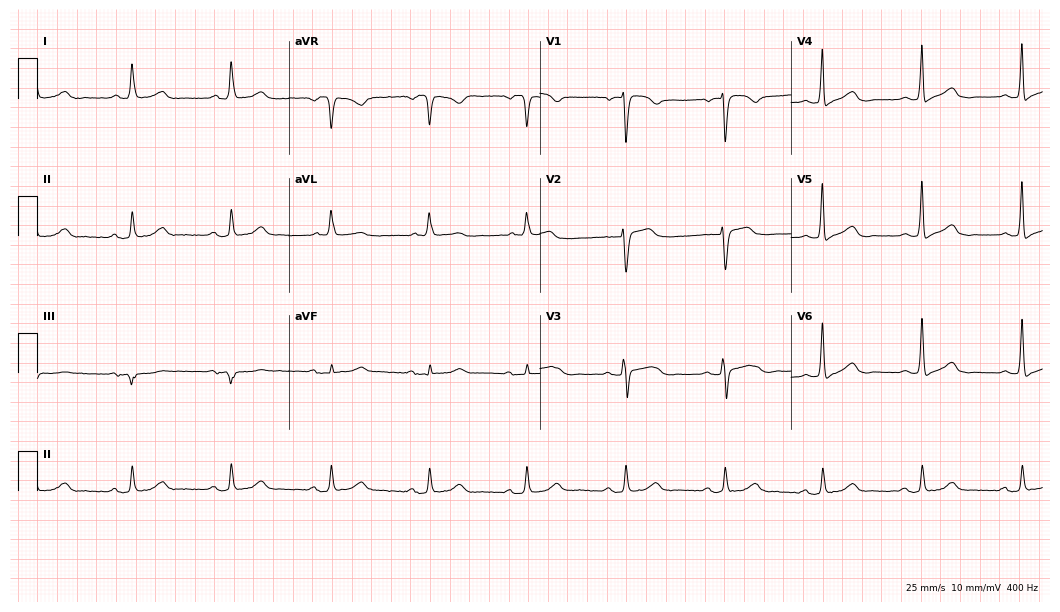
12-lead ECG (10.2-second recording at 400 Hz) from a 78-year-old female. Screened for six findings — first-degree AV block, right bundle branch block, left bundle branch block, sinus bradycardia, atrial fibrillation, sinus tachycardia — none is recorded.